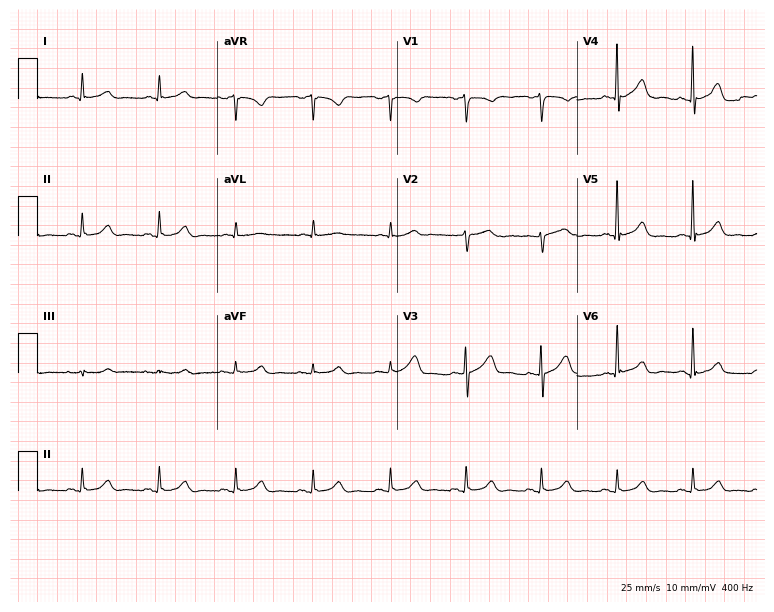
12-lead ECG from a 75-year-old male patient (7.3-second recording at 400 Hz). Recorded interpretation: within normal limits.